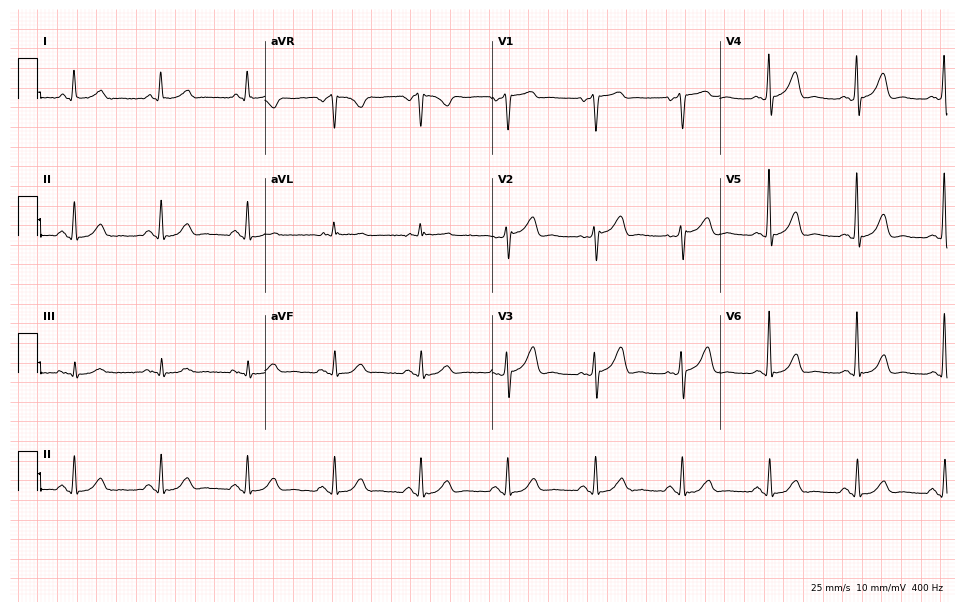
12-lead ECG (9.3-second recording at 400 Hz) from a man, 27 years old. Labelled as a normal ECG.